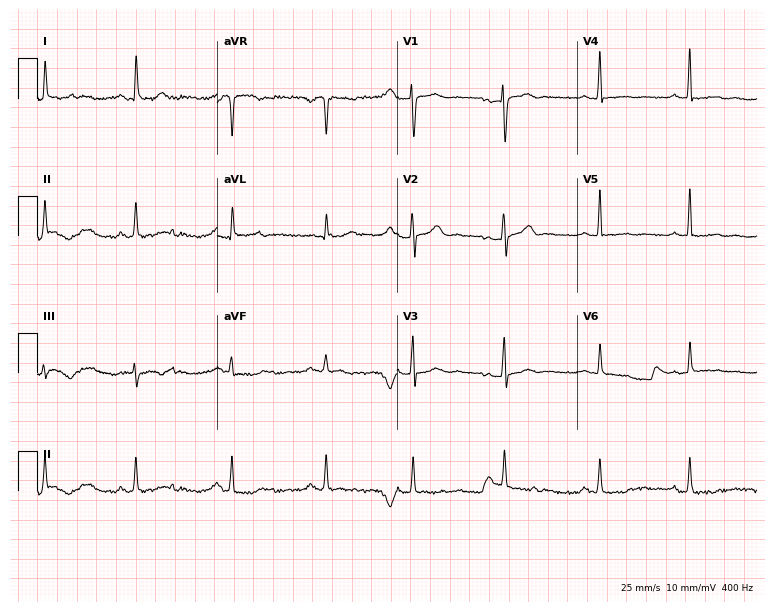
Electrocardiogram (7.3-second recording at 400 Hz), a 37-year-old man. Of the six screened findings (first-degree AV block, right bundle branch block, left bundle branch block, sinus bradycardia, atrial fibrillation, sinus tachycardia), none is recorded.